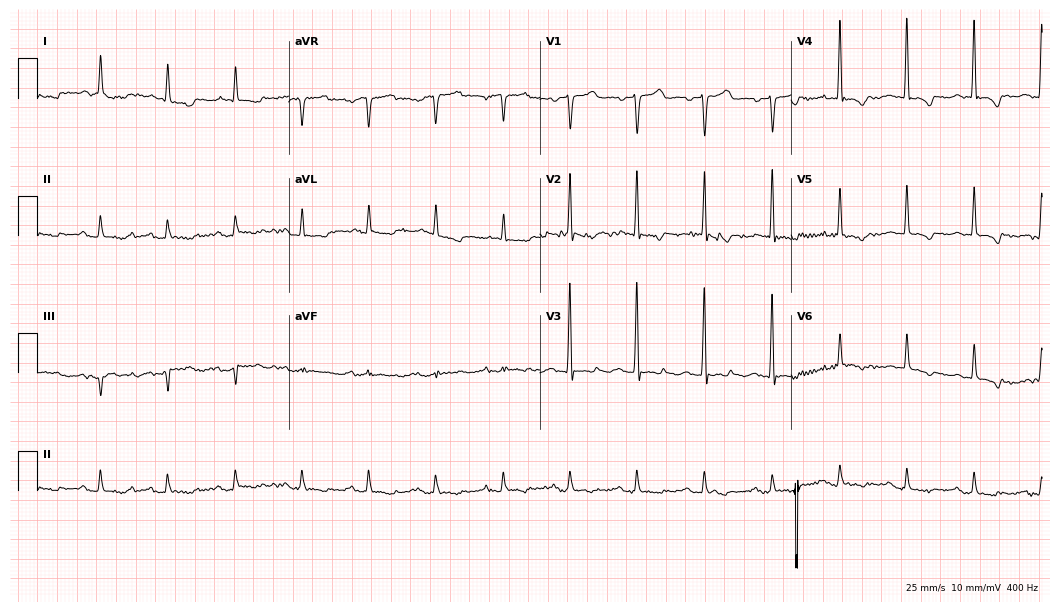
12-lead ECG from a male, 83 years old. Screened for six findings — first-degree AV block, right bundle branch block, left bundle branch block, sinus bradycardia, atrial fibrillation, sinus tachycardia — none is recorded.